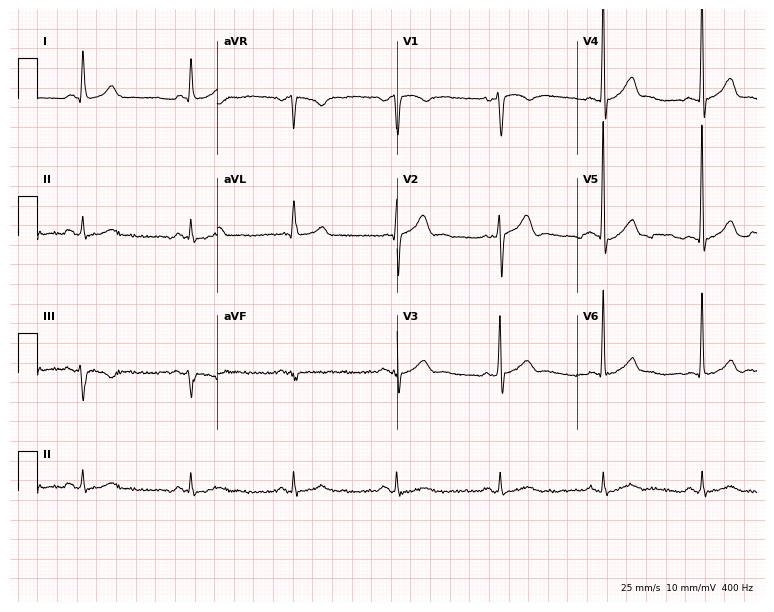
Standard 12-lead ECG recorded from a man, 57 years old. None of these six findings is recorded: first-degree AV block, right bundle branch block (RBBB), left bundle branch block (LBBB), sinus bradycardia, atrial fibrillation (AF), sinus tachycardia.